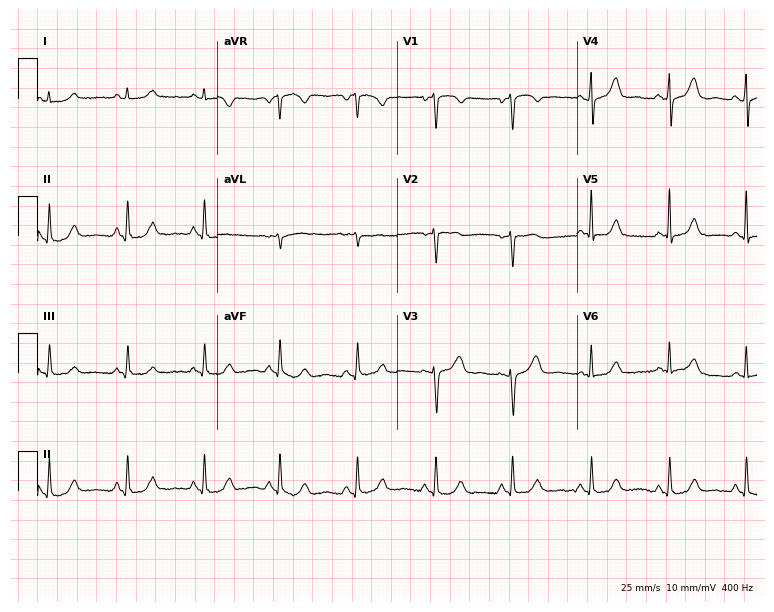
Electrocardiogram (7.3-second recording at 400 Hz), a woman, 54 years old. Overall reading on record: normal ECG.